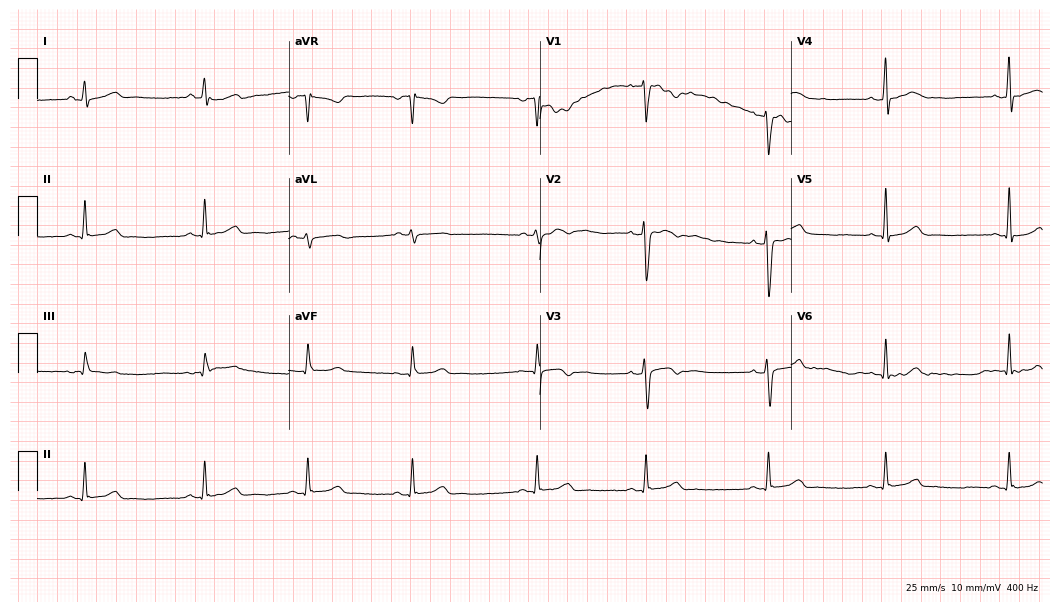
Electrocardiogram, a female, 24 years old. Overall reading on record: normal ECG.